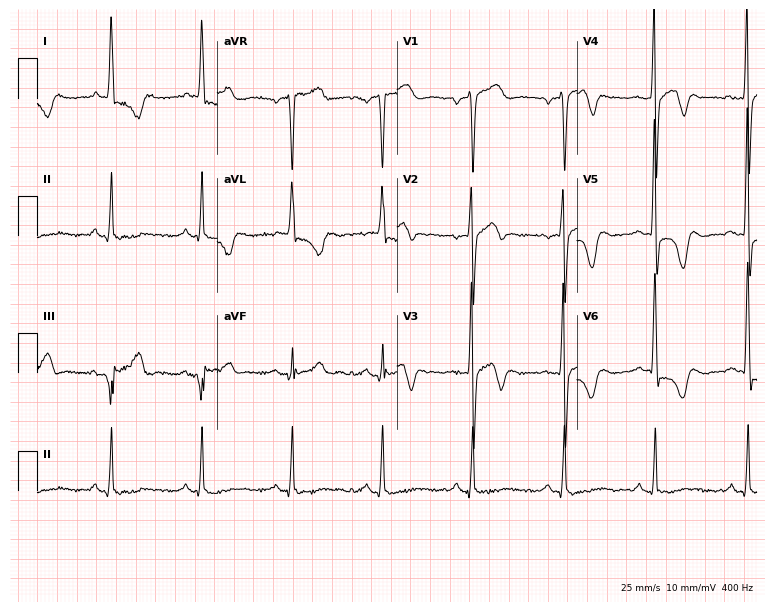
12-lead ECG from a female patient, 61 years old. No first-degree AV block, right bundle branch block, left bundle branch block, sinus bradycardia, atrial fibrillation or sinus tachycardia recorded for this tracing.